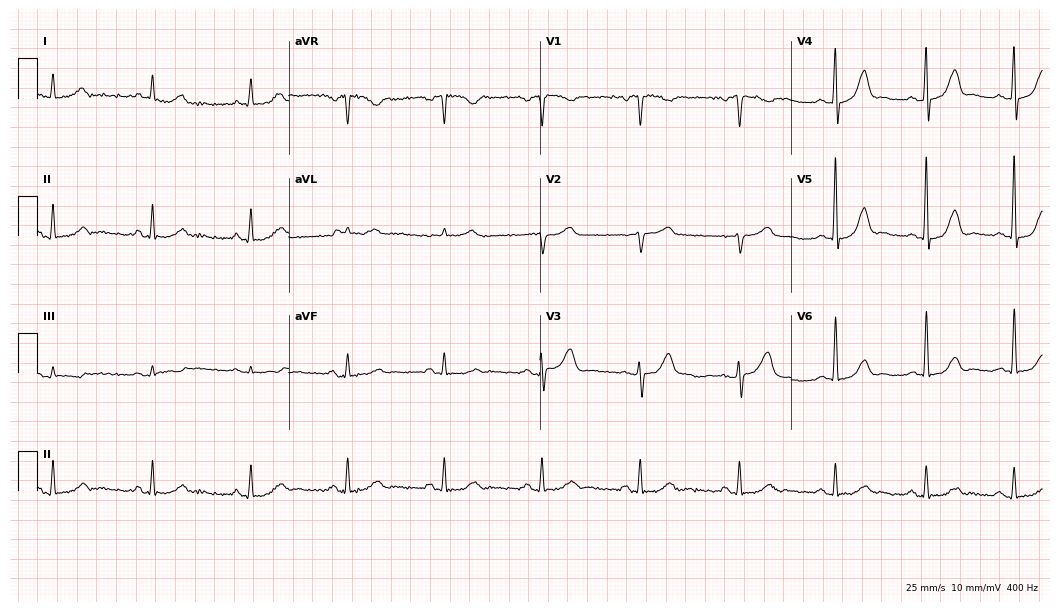
12-lead ECG from a 70-year-old male patient. Labelled as a normal ECG.